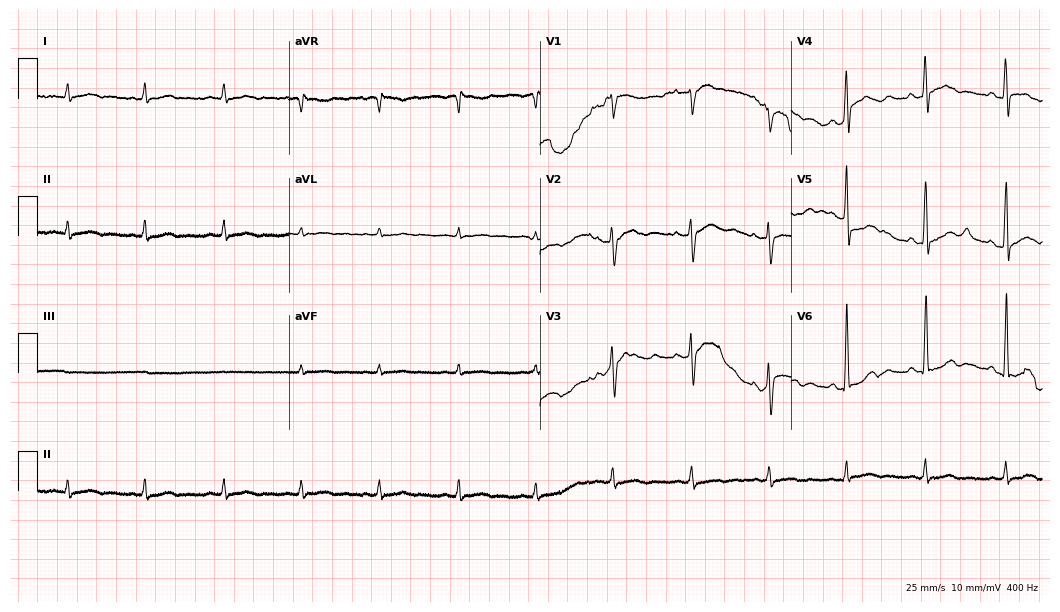
12-lead ECG (10.2-second recording at 400 Hz) from a female, 54 years old. Screened for six findings — first-degree AV block, right bundle branch block, left bundle branch block, sinus bradycardia, atrial fibrillation, sinus tachycardia — none is recorded.